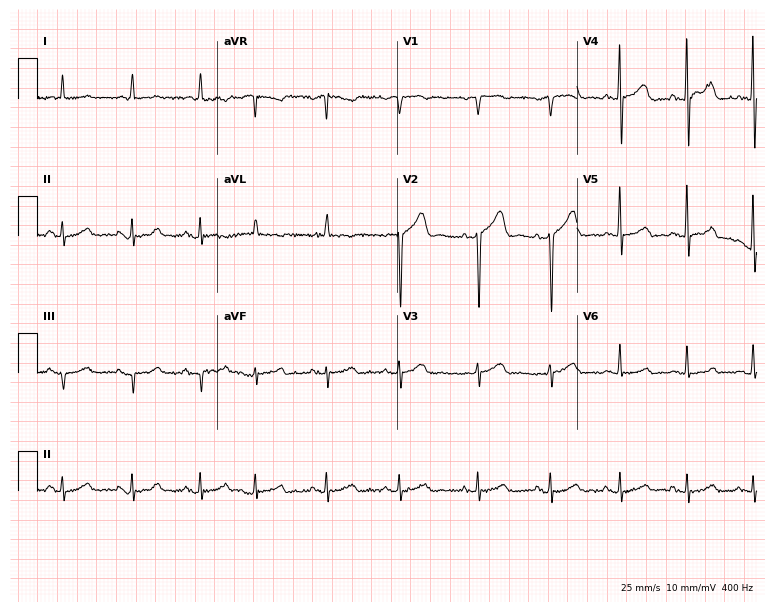
12-lead ECG (7.3-second recording at 400 Hz) from a woman, 76 years old. Labelled as a normal ECG.